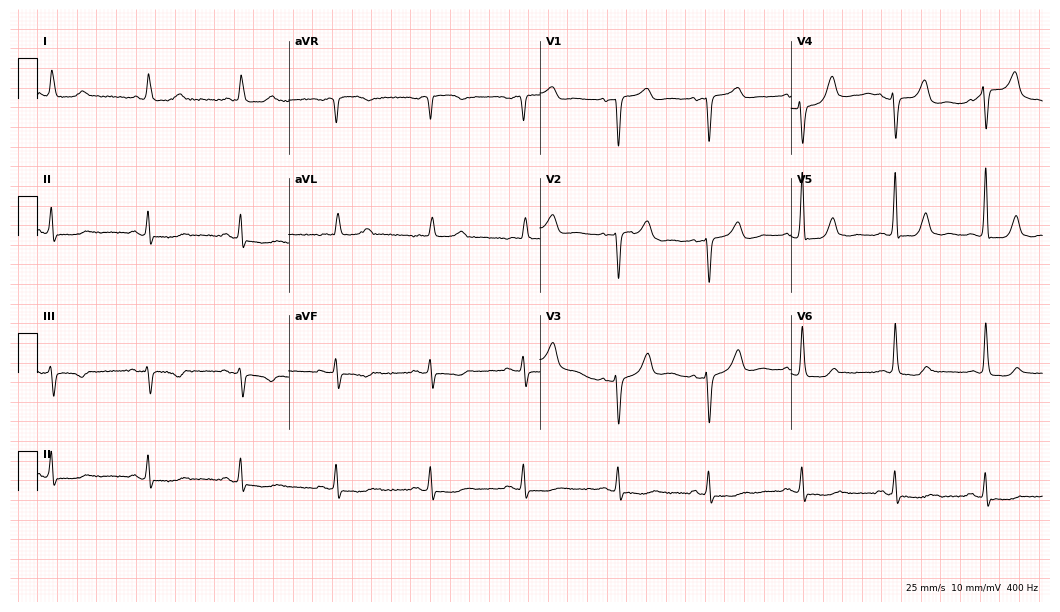
ECG — a female patient, 80 years old. Screened for six findings — first-degree AV block, right bundle branch block, left bundle branch block, sinus bradycardia, atrial fibrillation, sinus tachycardia — none is recorded. Findings outside these six are not listed.